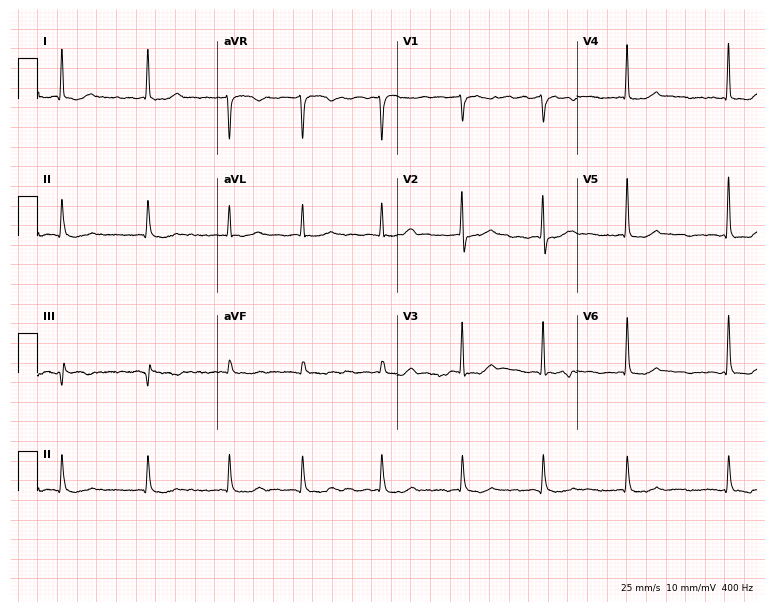
Electrocardiogram, an 85-year-old woman. Interpretation includes atrial fibrillation.